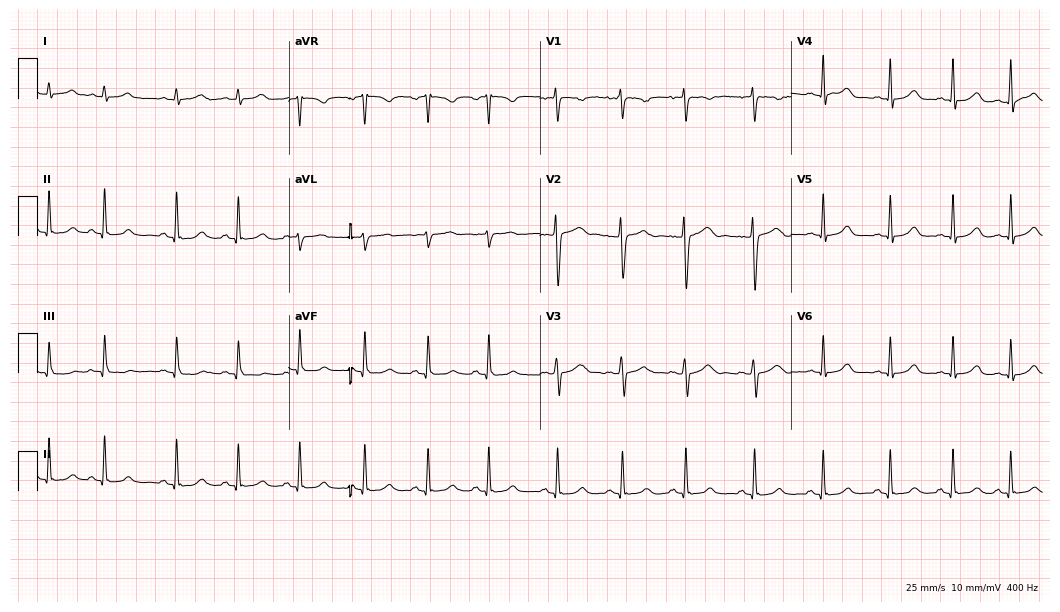
Standard 12-lead ECG recorded from a female patient, 20 years old. Read as a normal ECG.